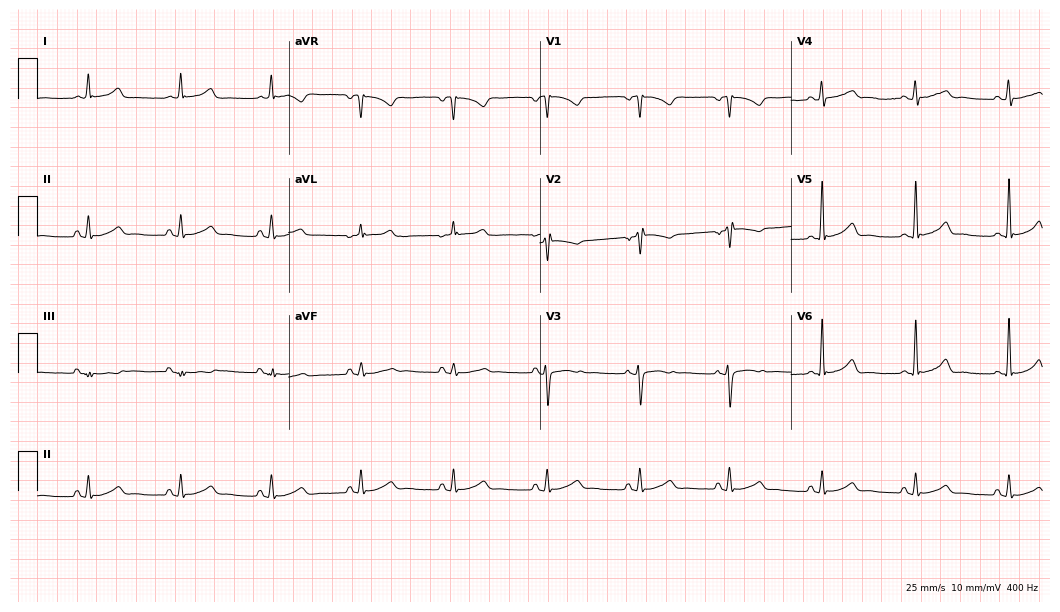
Resting 12-lead electrocardiogram. Patient: a 26-year-old female. Read as a normal ECG.